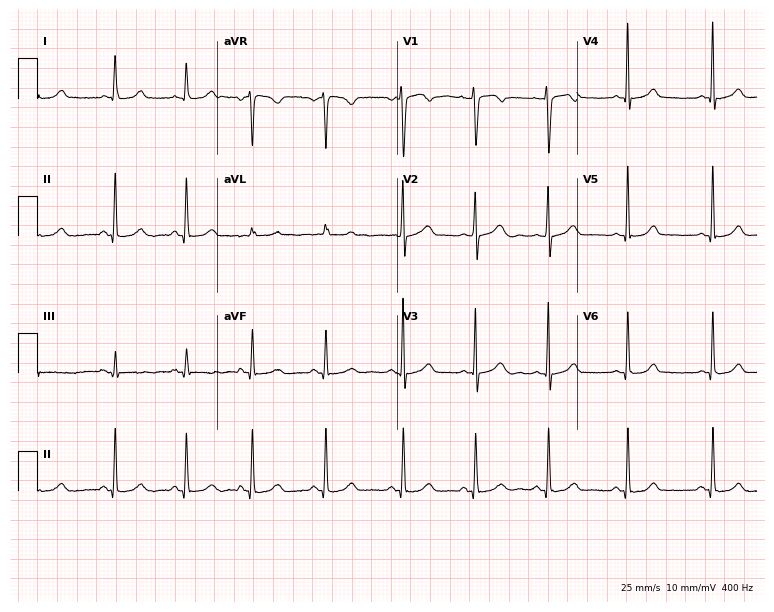
Resting 12-lead electrocardiogram. Patient: a female, 33 years old. Read as a normal ECG.